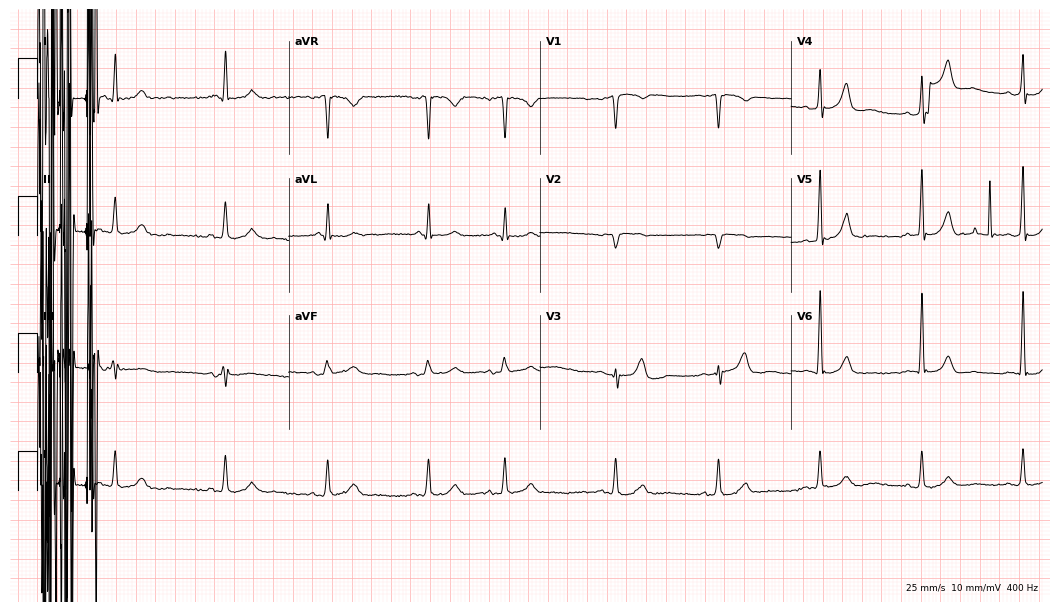
ECG (10.2-second recording at 400 Hz) — a male patient, 68 years old. Screened for six findings — first-degree AV block, right bundle branch block (RBBB), left bundle branch block (LBBB), sinus bradycardia, atrial fibrillation (AF), sinus tachycardia — none is recorded. Findings outside these six are not listed.